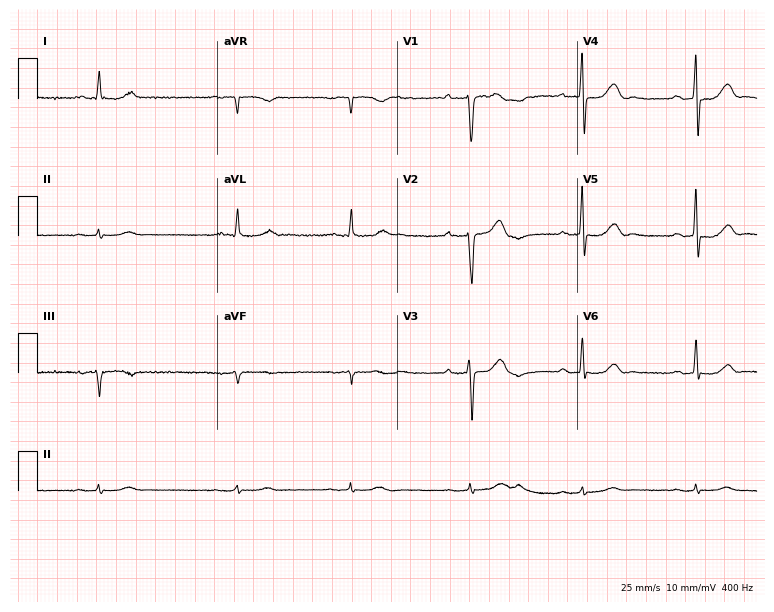
ECG (7.3-second recording at 400 Hz) — a 69-year-old male. Findings include first-degree AV block, sinus bradycardia (a sinus rate of 50 beats per minute or less).